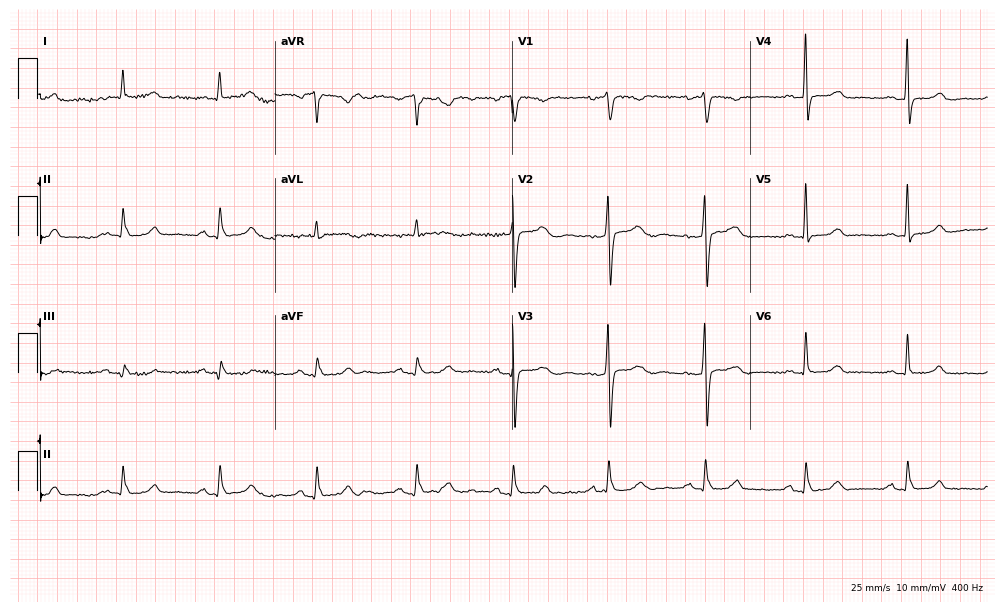
Resting 12-lead electrocardiogram (9.7-second recording at 400 Hz). Patient: a 63-year-old female. Read as a normal ECG.